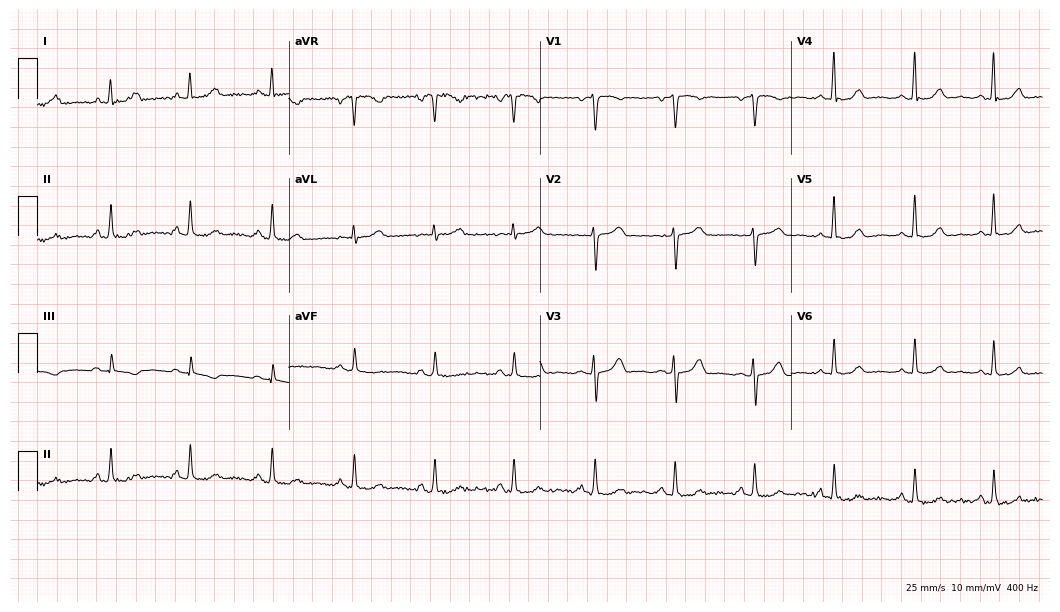
12-lead ECG (10.2-second recording at 400 Hz) from a woman, 54 years old. Labelled as a normal ECG.